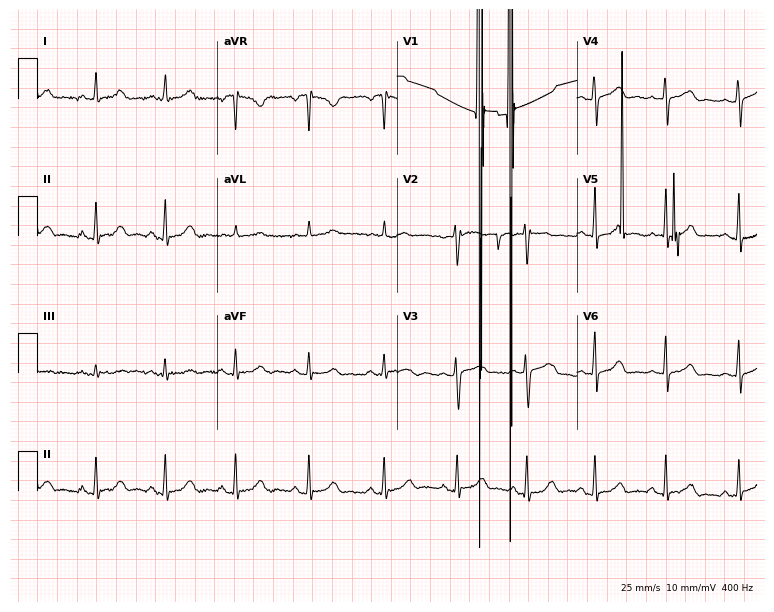
ECG — a female, 34 years old. Screened for six findings — first-degree AV block, right bundle branch block, left bundle branch block, sinus bradycardia, atrial fibrillation, sinus tachycardia — none is recorded. Other findings, if any, are not listed.